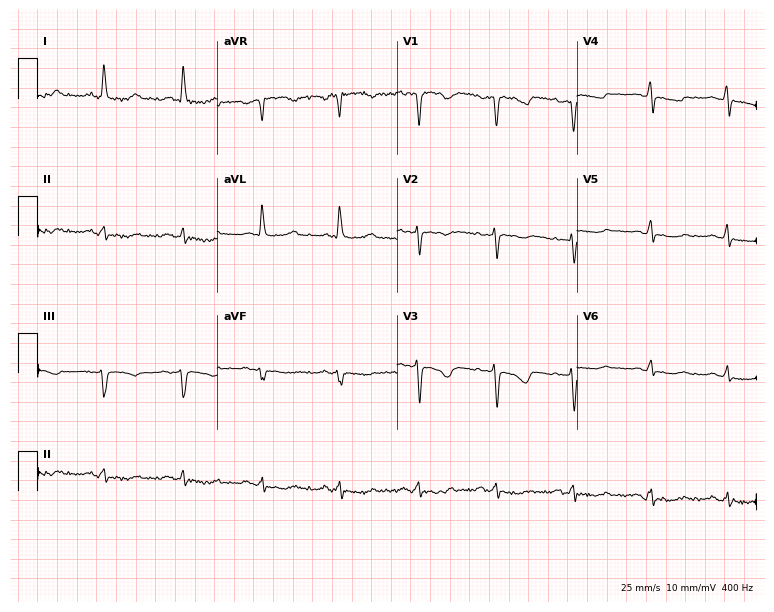
Standard 12-lead ECG recorded from a 56-year-old female patient. None of these six findings is recorded: first-degree AV block, right bundle branch block (RBBB), left bundle branch block (LBBB), sinus bradycardia, atrial fibrillation (AF), sinus tachycardia. Other findings, if any, are not listed.